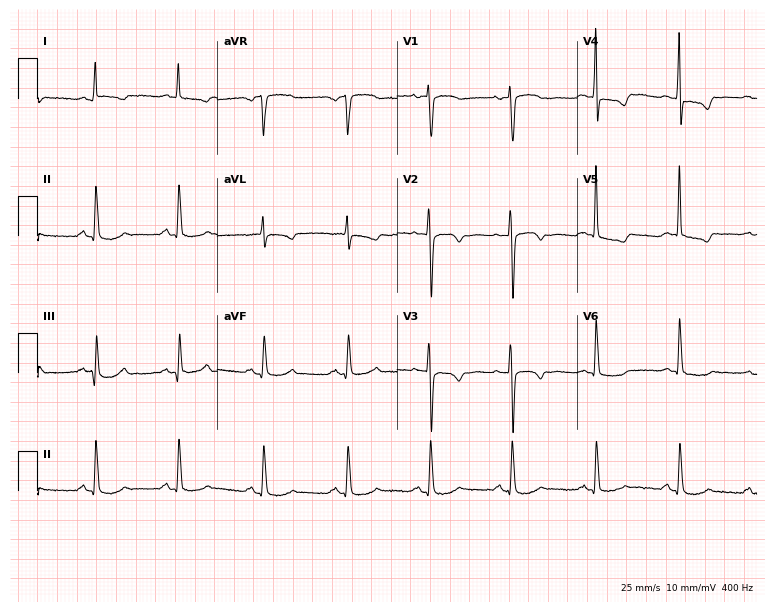
Standard 12-lead ECG recorded from a woman, 53 years old. Read as a normal ECG.